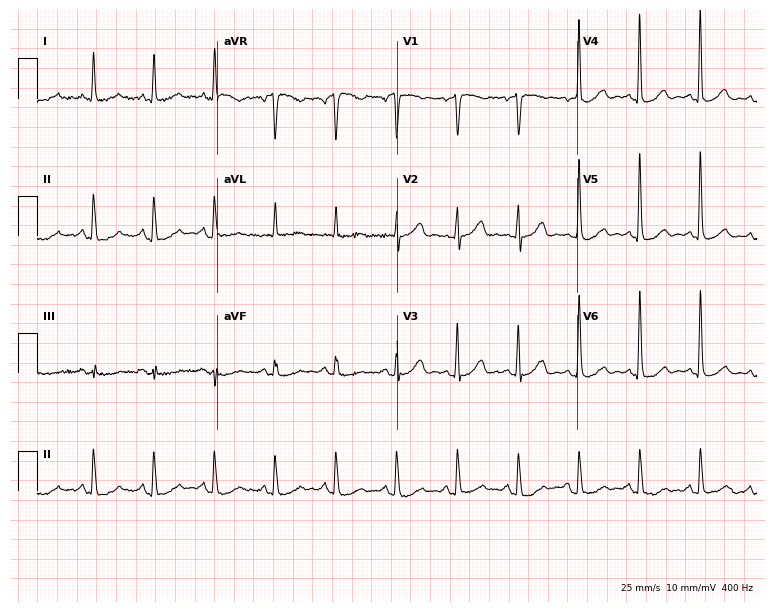
12-lead ECG from a 71-year-old man (7.3-second recording at 400 Hz). No first-degree AV block, right bundle branch block (RBBB), left bundle branch block (LBBB), sinus bradycardia, atrial fibrillation (AF) or sinus tachycardia recorded for this tracing. Other findings, if any, are not listed.